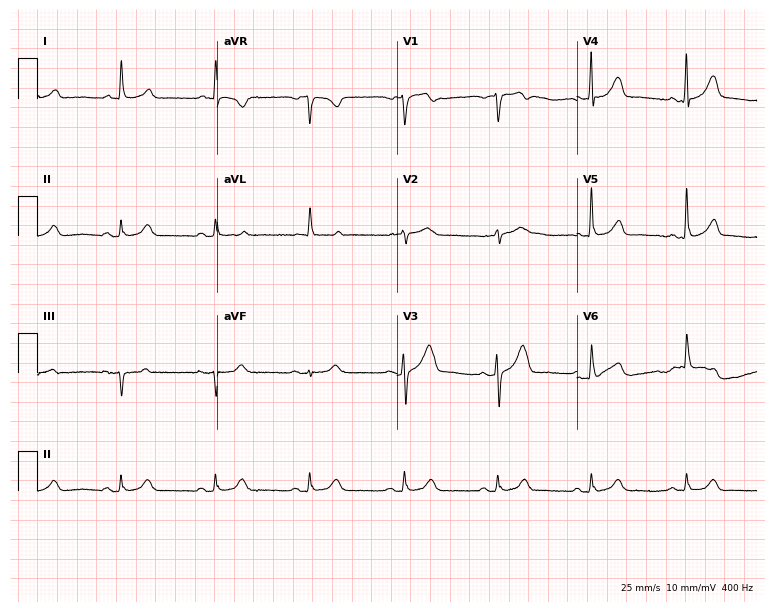
12-lead ECG from a male, 84 years old. Recorded interpretation: within normal limits.